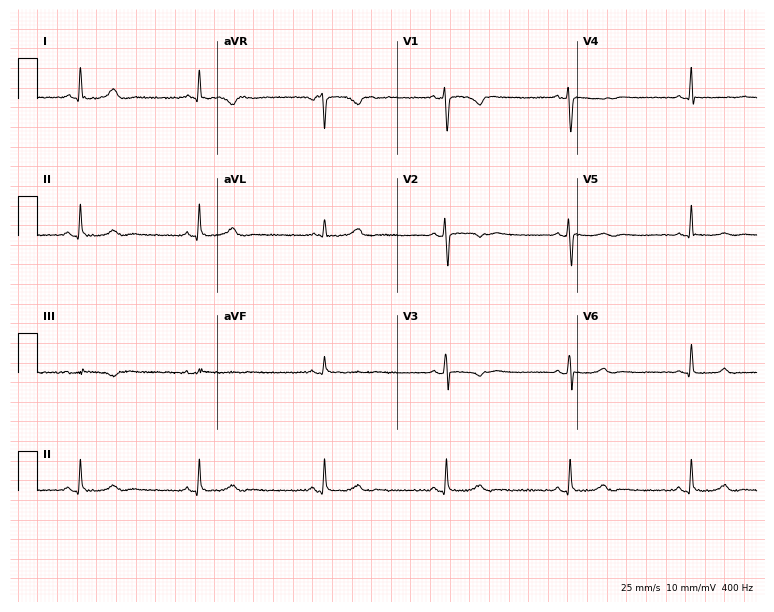
12-lead ECG from a 28-year-old female patient. Labelled as a normal ECG.